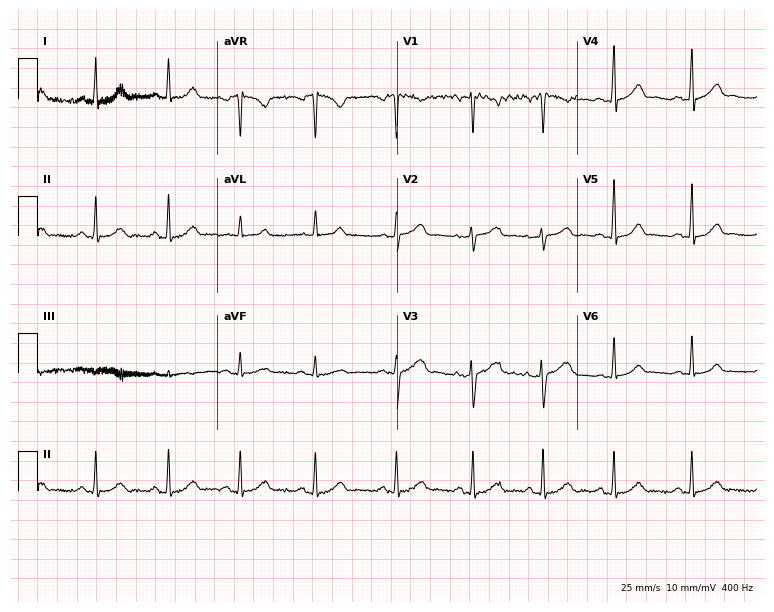
Electrocardiogram, a 33-year-old female. Of the six screened findings (first-degree AV block, right bundle branch block (RBBB), left bundle branch block (LBBB), sinus bradycardia, atrial fibrillation (AF), sinus tachycardia), none is recorded.